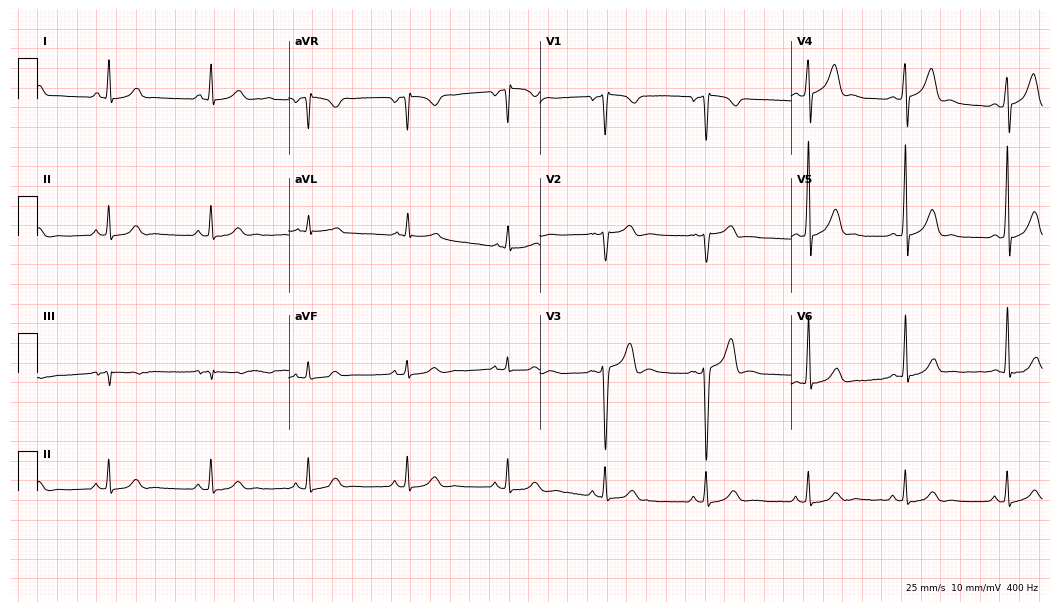
Electrocardiogram, a 51-year-old male. Of the six screened findings (first-degree AV block, right bundle branch block (RBBB), left bundle branch block (LBBB), sinus bradycardia, atrial fibrillation (AF), sinus tachycardia), none is recorded. Other findings, if any, are not listed.